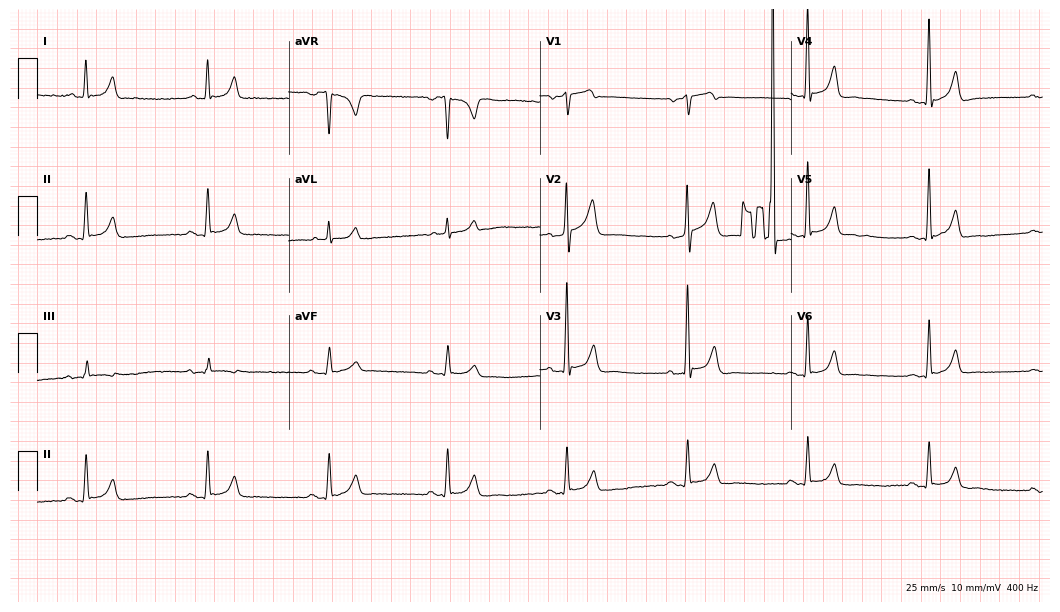
Standard 12-lead ECG recorded from a man, 69 years old. Read as a normal ECG.